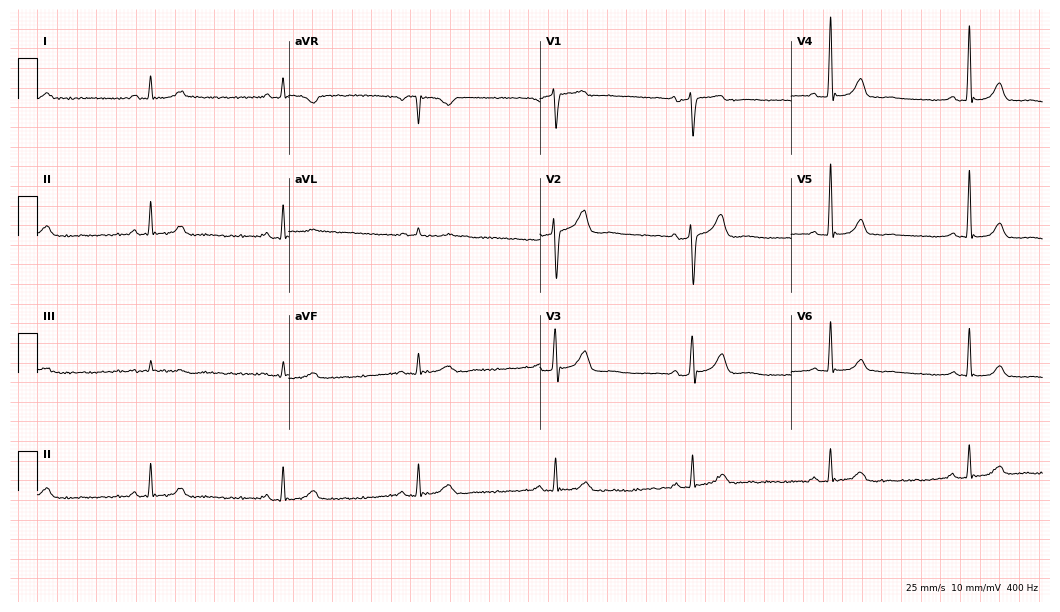
12-lead ECG from a 67-year-old male patient (10.2-second recording at 400 Hz). No first-degree AV block, right bundle branch block, left bundle branch block, sinus bradycardia, atrial fibrillation or sinus tachycardia recorded for this tracing. Only these six findings were labelled.